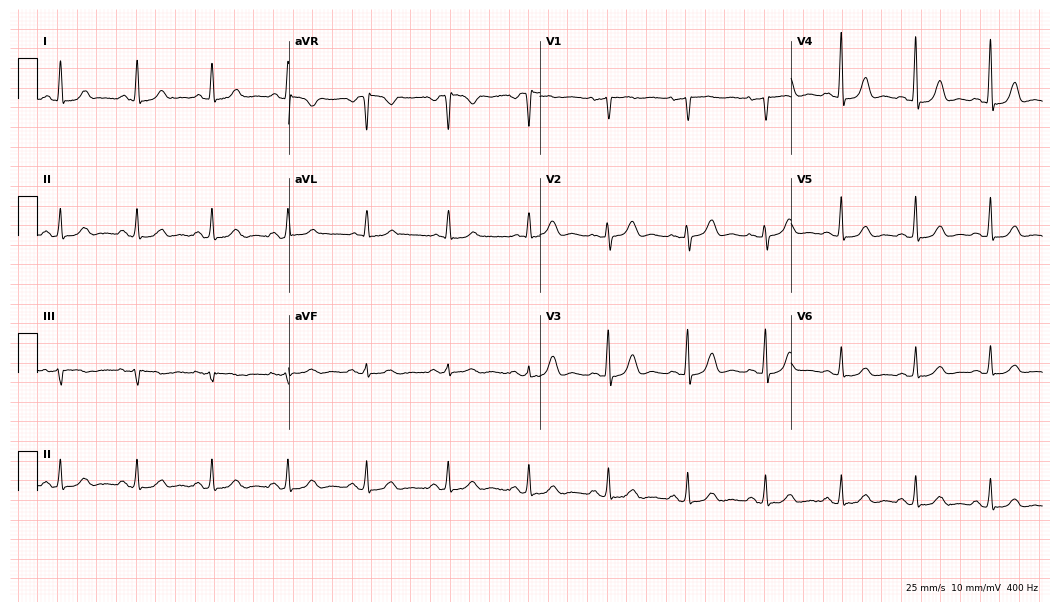
Resting 12-lead electrocardiogram. Patient: a 58-year-old female. None of these six findings is recorded: first-degree AV block, right bundle branch block, left bundle branch block, sinus bradycardia, atrial fibrillation, sinus tachycardia.